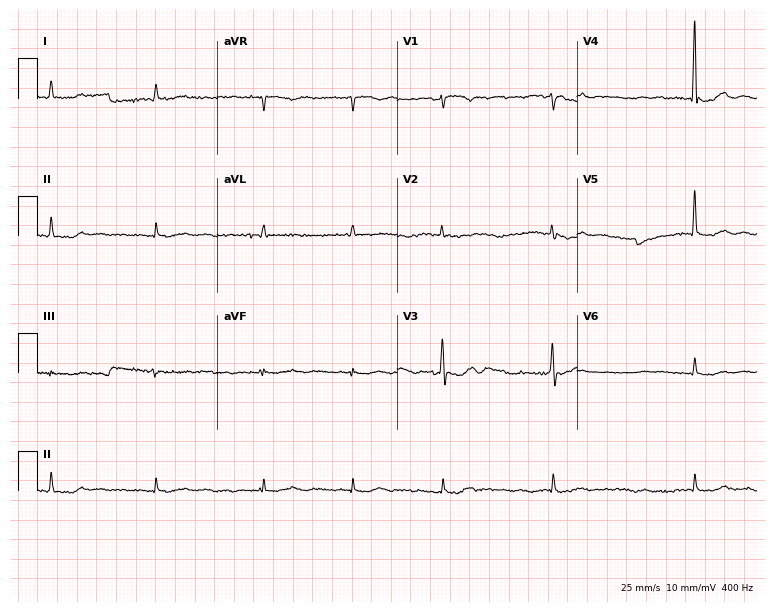
12-lead ECG from an 81-year-old female (7.3-second recording at 400 Hz). Shows atrial fibrillation.